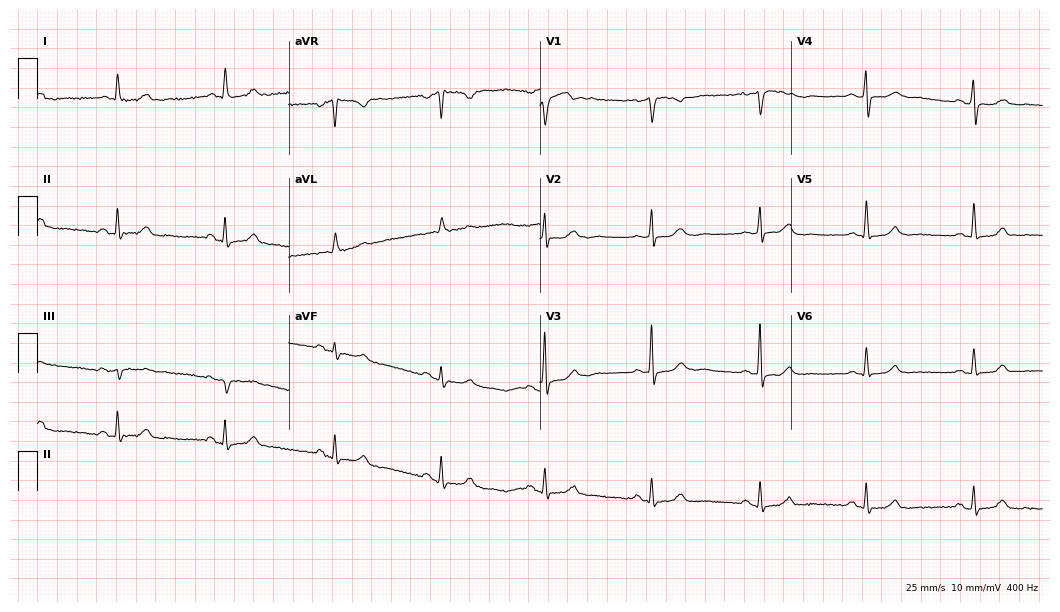
Standard 12-lead ECG recorded from a 55-year-old woman. Read as a normal ECG.